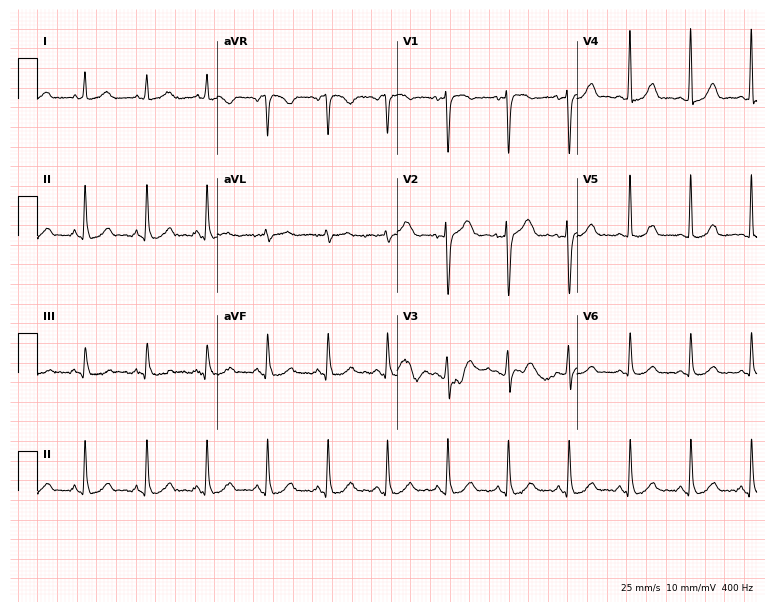
12-lead ECG (7.3-second recording at 400 Hz) from a 44-year-old female. Labelled as a normal ECG.